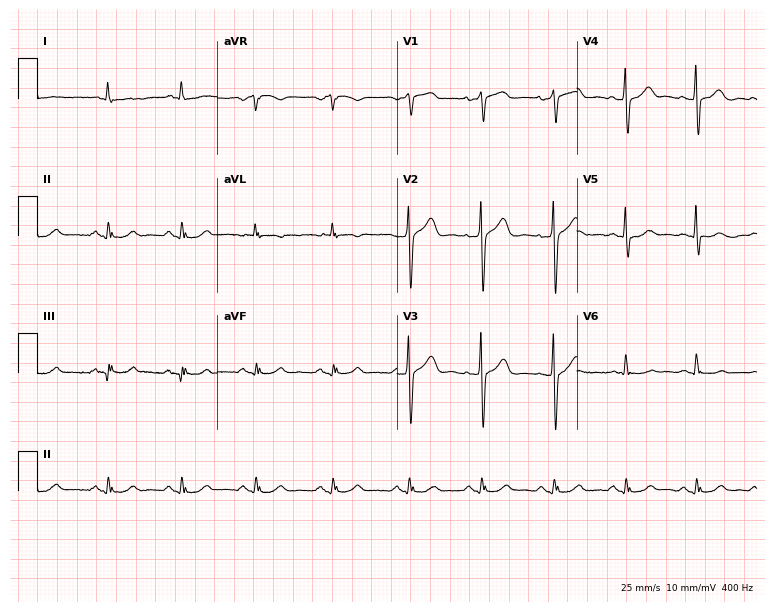
Standard 12-lead ECG recorded from a 64-year-old male (7.3-second recording at 400 Hz). None of these six findings is recorded: first-degree AV block, right bundle branch block, left bundle branch block, sinus bradycardia, atrial fibrillation, sinus tachycardia. Only these six findings were labelled.